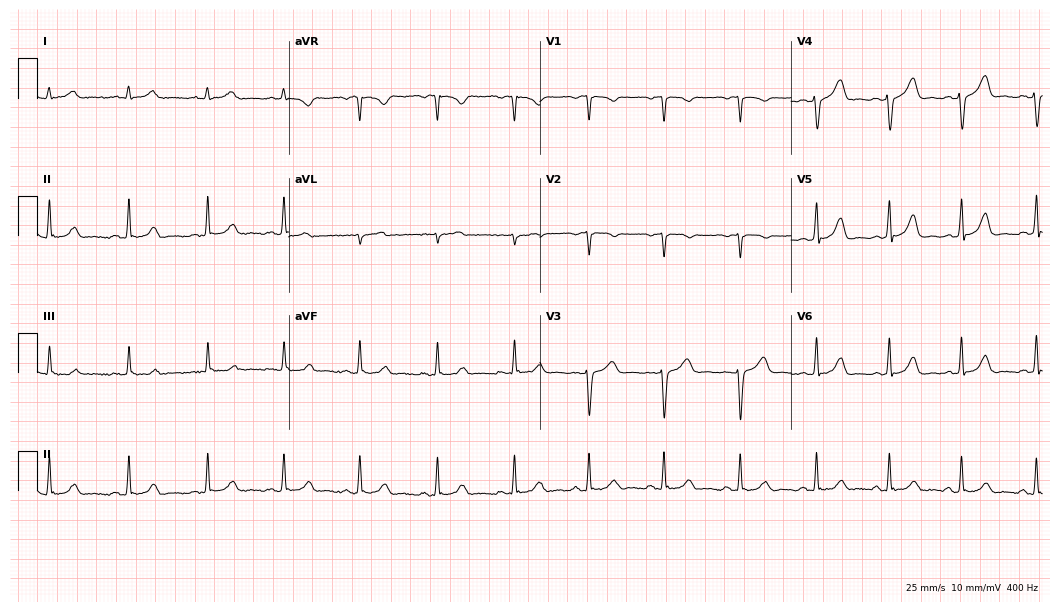
Electrocardiogram, a female patient, 39 years old. Of the six screened findings (first-degree AV block, right bundle branch block (RBBB), left bundle branch block (LBBB), sinus bradycardia, atrial fibrillation (AF), sinus tachycardia), none is recorded.